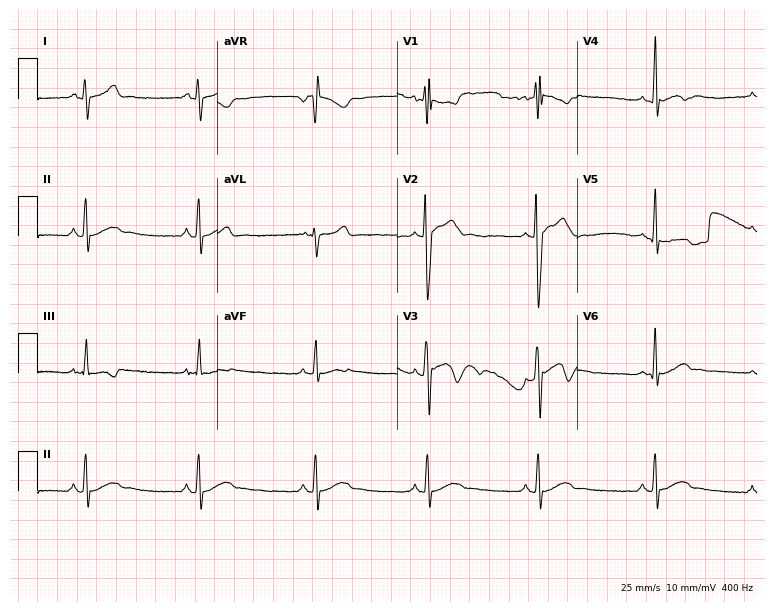
12-lead ECG from a 17-year-old male patient (7.3-second recording at 400 Hz). No first-degree AV block, right bundle branch block, left bundle branch block, sinus bradycardia, atrial fibrillation or sinus tachycardia recorded for this tracing.